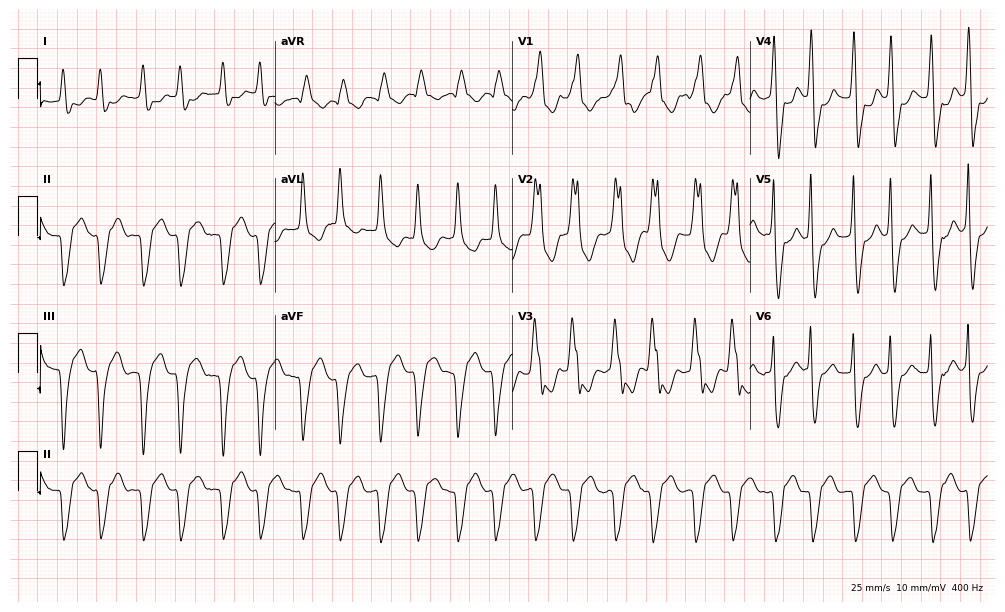
Resting 12-lead electrocardiogram. Patient: a man, 80 years old. The tracing shows right bundle branch block (RBBB), atrial fibrillation (AF).